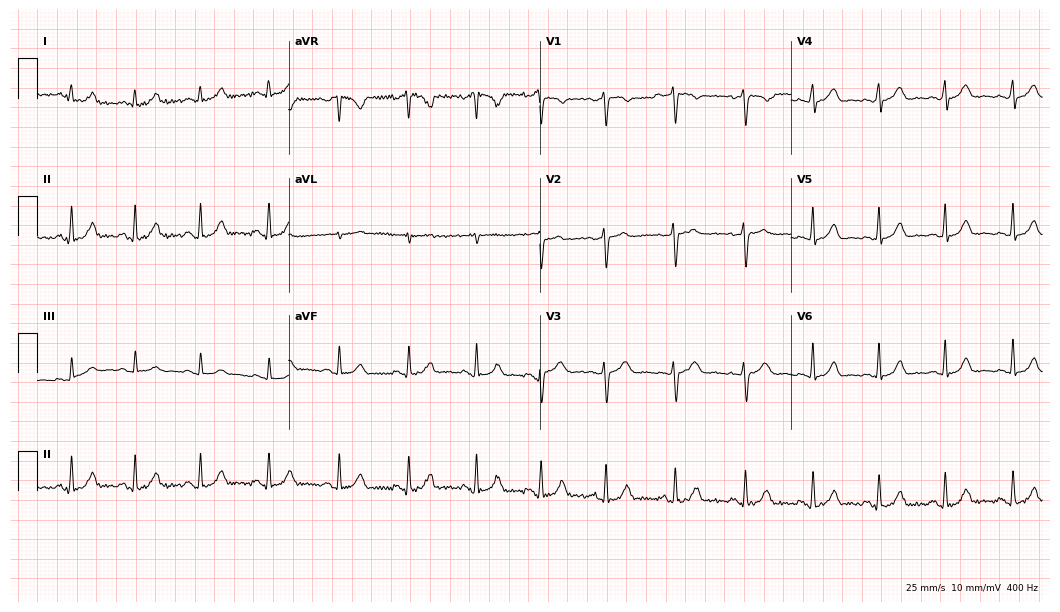
12-lead ECG (10.2-second recording at 400 Hz) from a 21-year-old female. Labelled as a normal ECG.